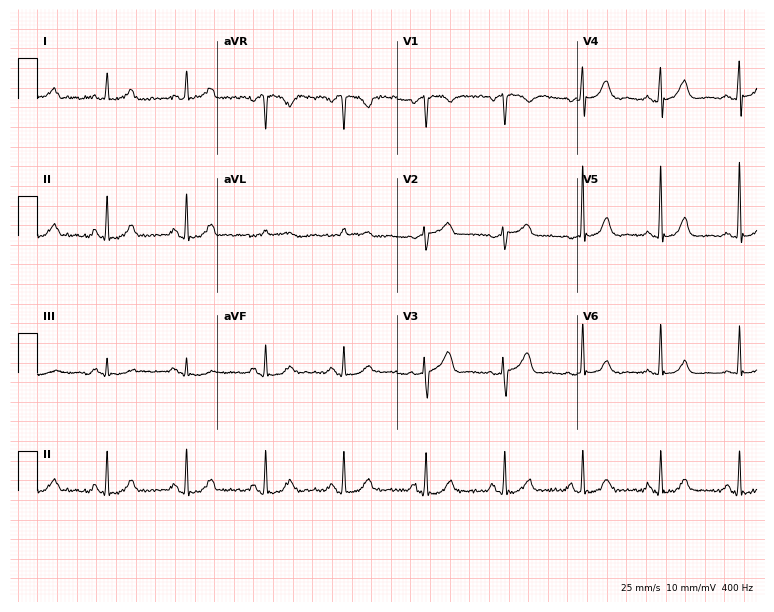
Electrocardiogram, a woman, 48 years old. Overall reading on record: normal ECG.